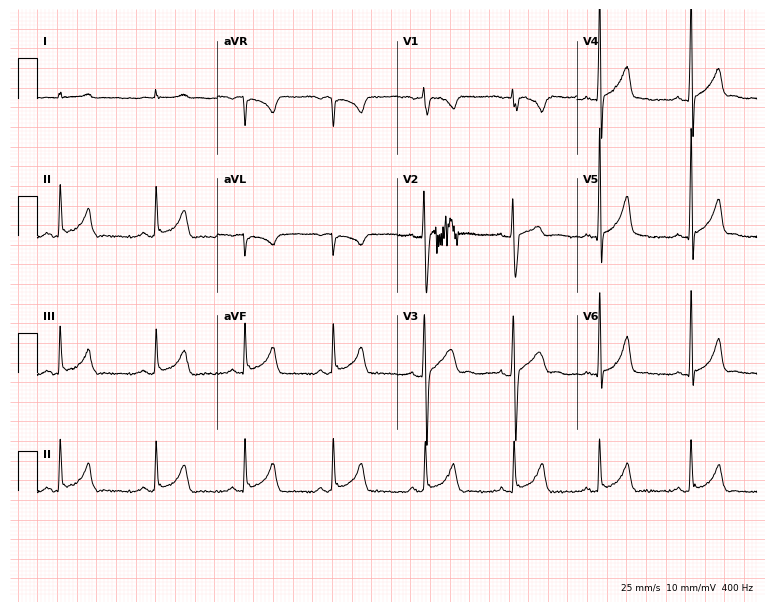
Electrocardiogram (7.3-second recording at 400 Hz), a male patient, 18 years old. Overall reading on record: normal ECG.